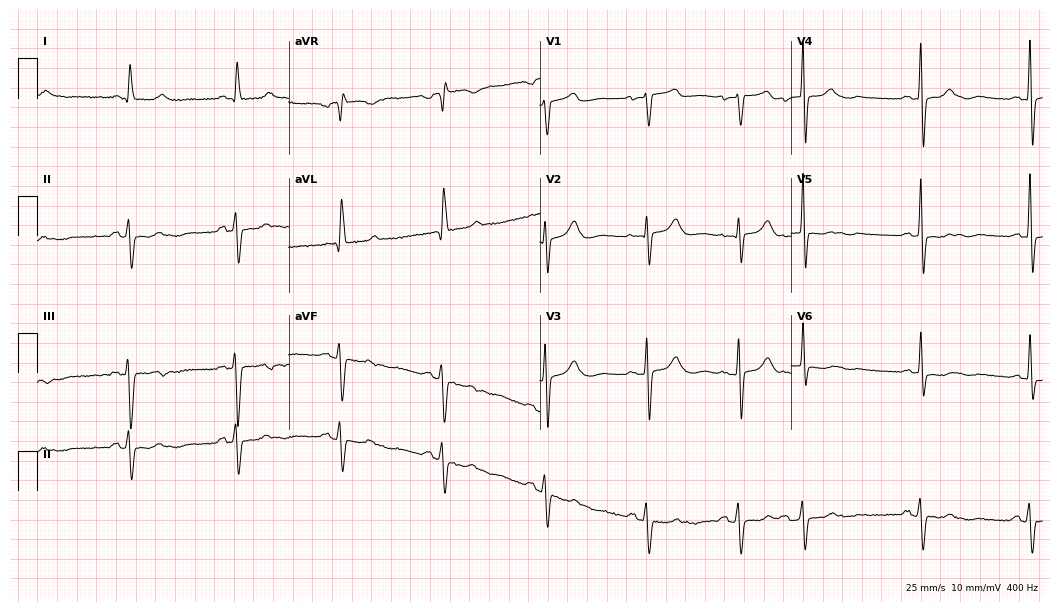
Resting 12-lead electrocardiogram. Patient: a 72-year-old female. None of these six findings is recorded: first-degree AV block, right bundle branch block, left bundle branch block, sinus bradycardia, atrial fibrillation, sinus tachycardia.